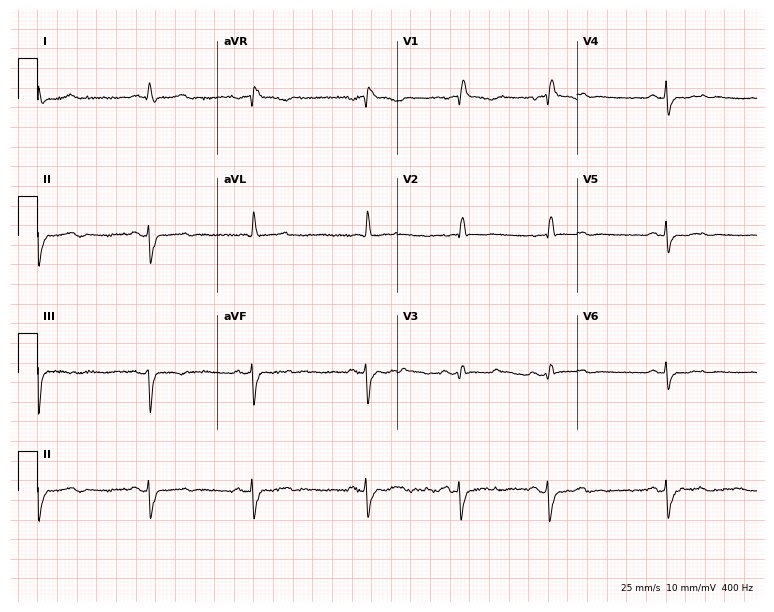
12-lead ECG from a 62-year-old female patient (7.3-second recording at 400 Hz). Shows right bundle branch block.